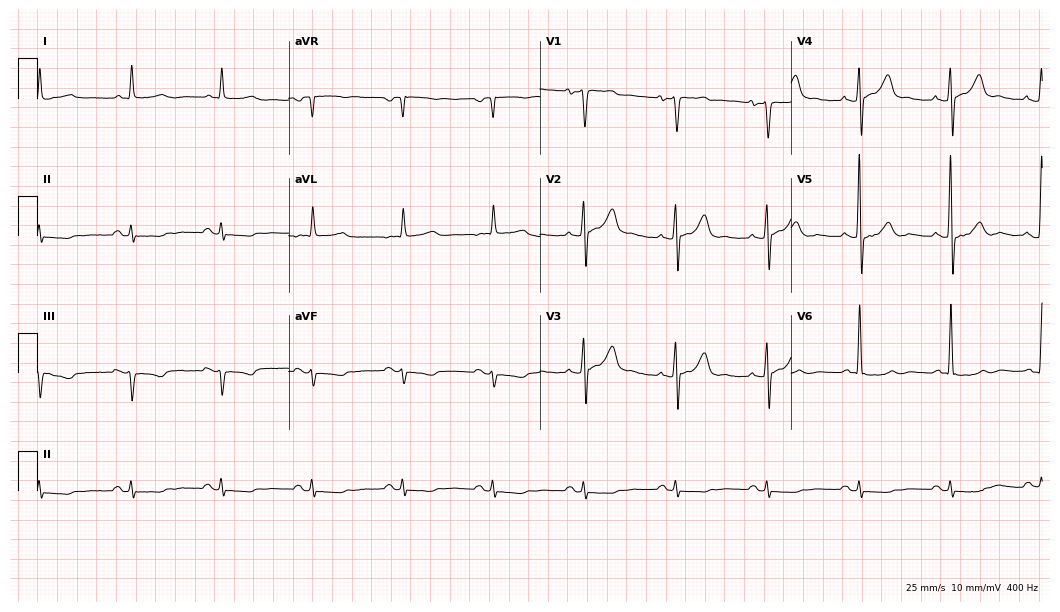
Resting 12-lead electrocardiogram (10.2-second recording at 400 Hz). Patient: a male, 85 years old. None of these six findings is recorded: first-degree AV block, right bundle branch block, left bundle branch block, sinus bradycardia, atrial fibrillation, sinus tachycardia. Only these six findings were labelled.